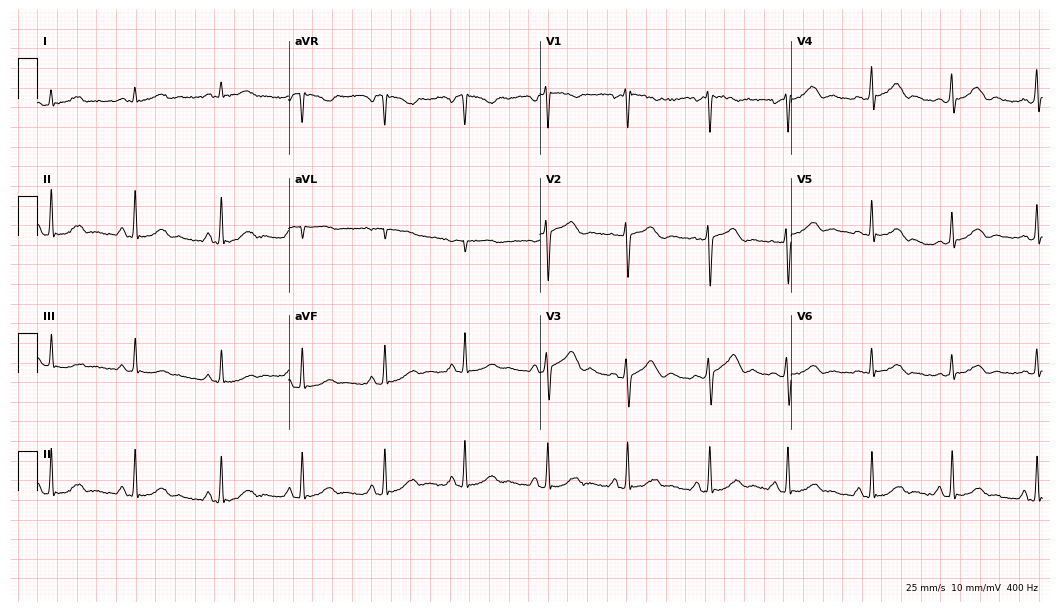
Electrocardiogram (10.2-second recording at 400 Hz), a 48-year-old male. Overall reading on record: normal ECG.